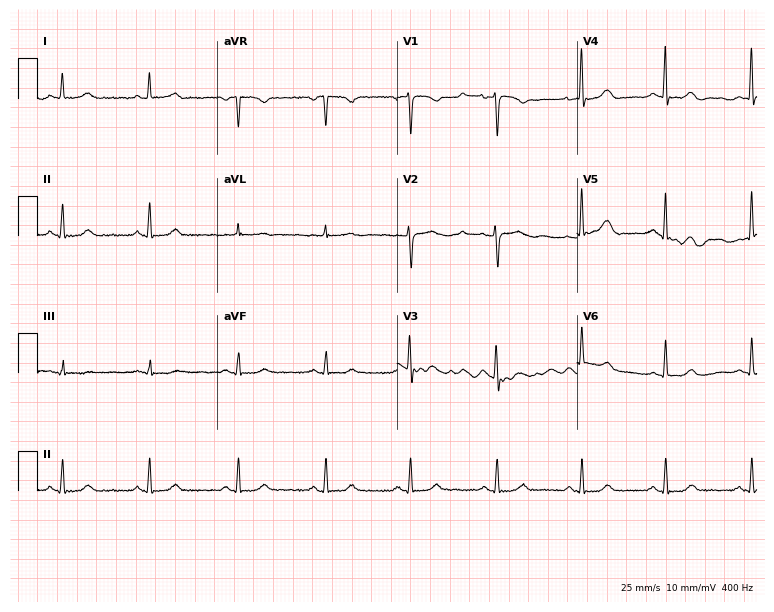
ECG (7.3-second recording at 400 Hz) — a 48-year-old female patient. Screened for six findings — first-degree AV block, right bundle branch block, left bundle branch block, sinus bradycardia, atrial fibrillation, sinus tachycardia — none is recorded.